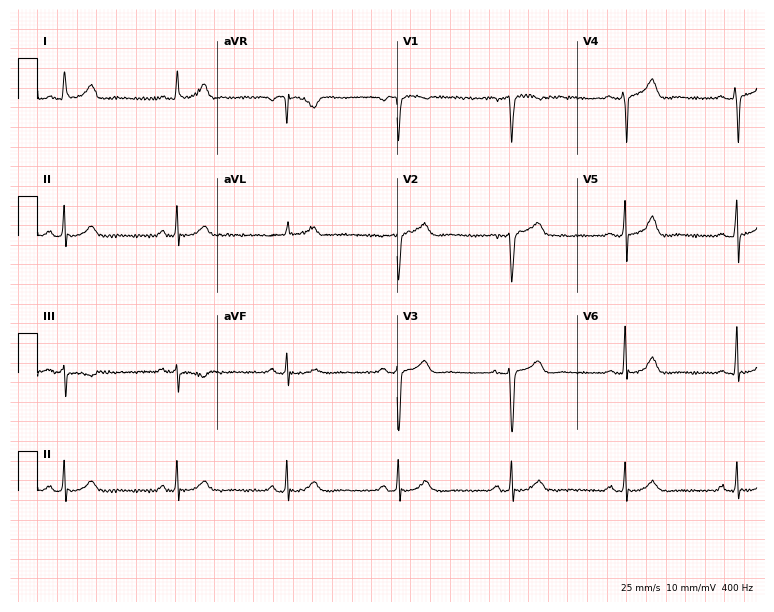
Resting 12-lead electrocardiogram. Patient: a 65-year-old female. Read as a normal ECG.